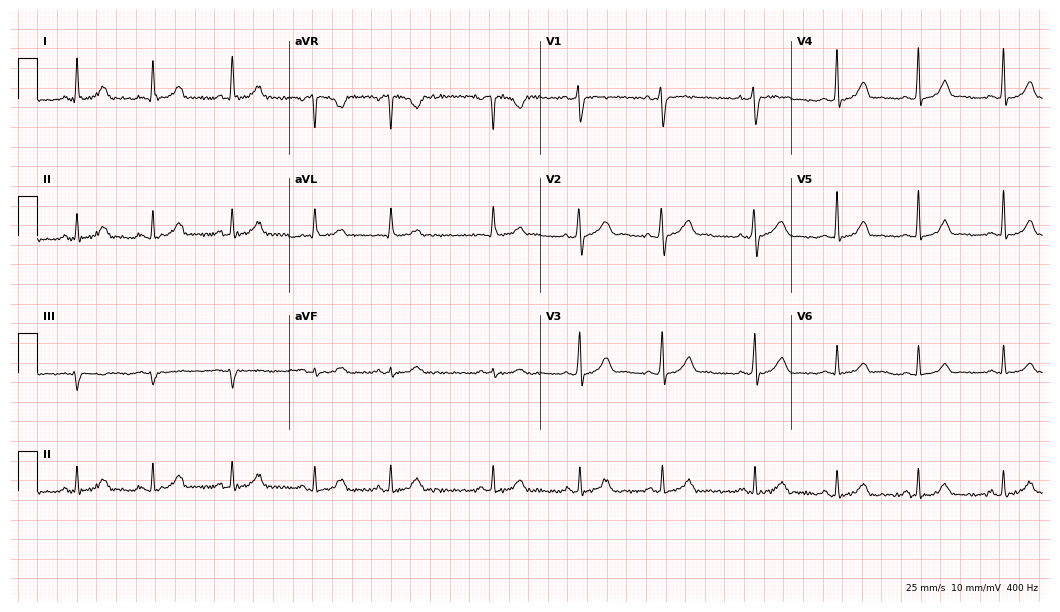
12-lead ECG from a female patient, 40 years old. Recorded interpretation: within normal limits.